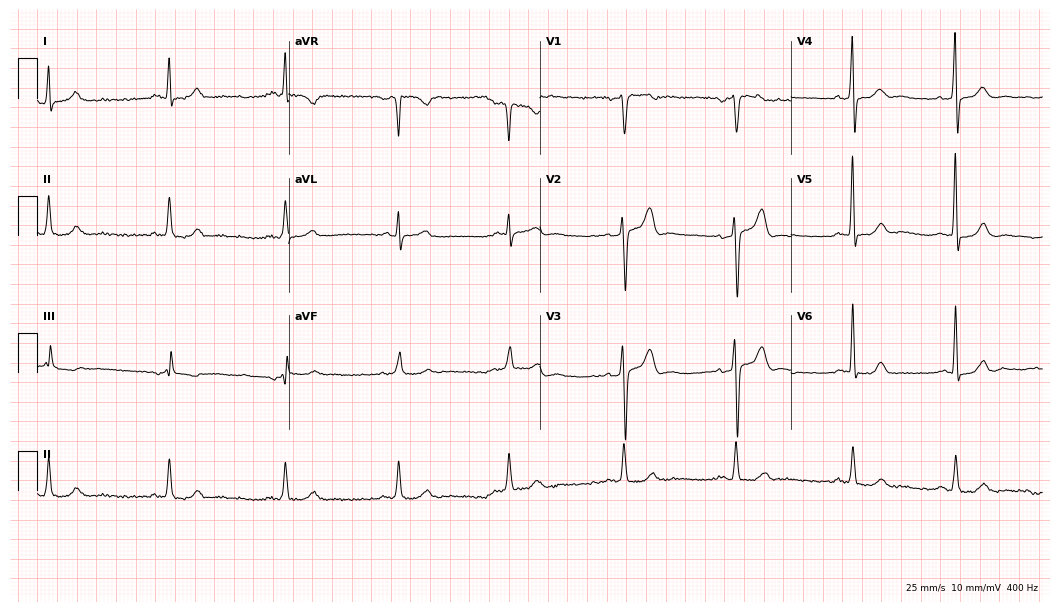
Resting 12-lead electrocardiogram. Patient: a 46-year-old male. Read as a normal ECG.